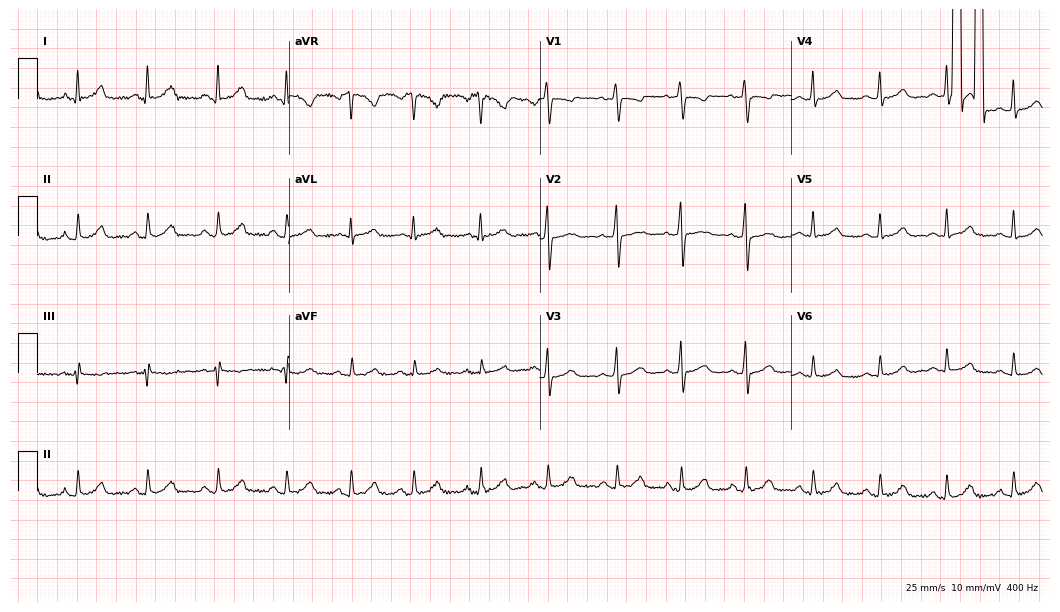
Electrocardiogram (10.2-second recording at 400 Hz), a 29-year-old female. Of the six screened findings (first-degree AV block, right bundle branch block (RBBB), left bundle branch block (LBBB), sinus bradycardia, atrial fibrillation (AF), sinus tachycardia), none is recorded. Only these six findings were labelled.